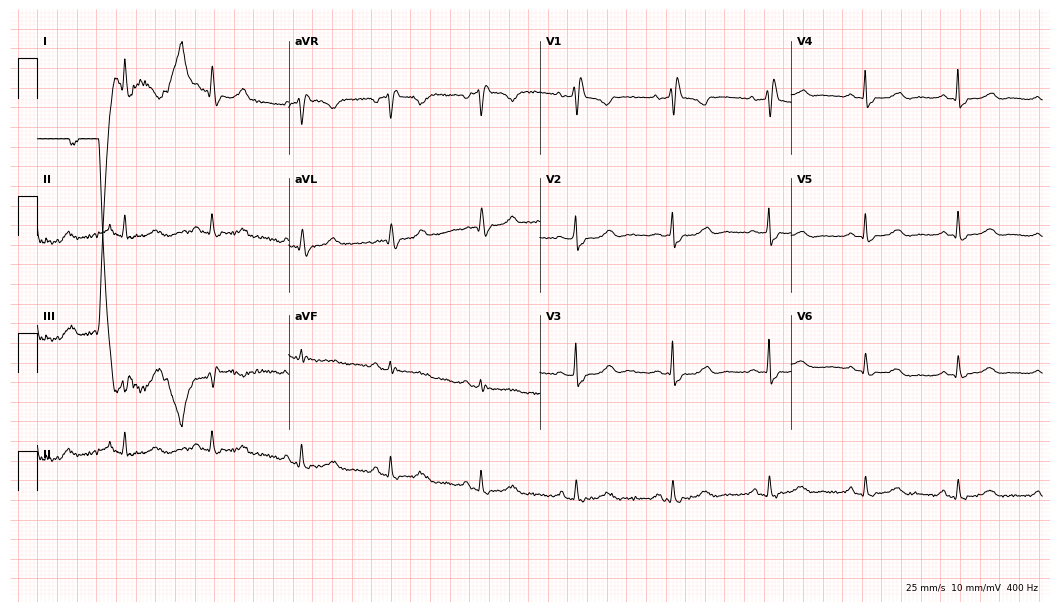
12-lead ECG from a female patient, 67 years old. Findings include right bundle branch block.